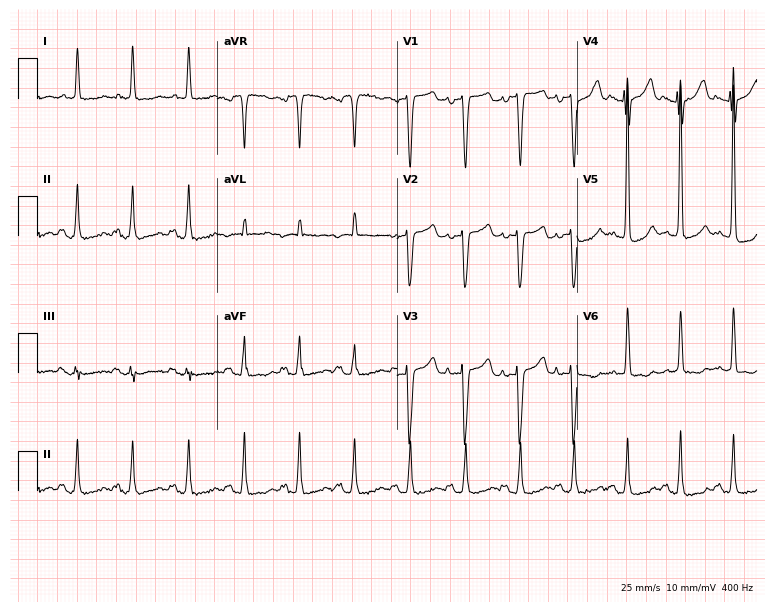
12-lead ECG (7.3-second recording at 400 Hz) from a female, 70 years old. Findings include sinus tachycardia (a sinus rate of 100 beats per minute or more).